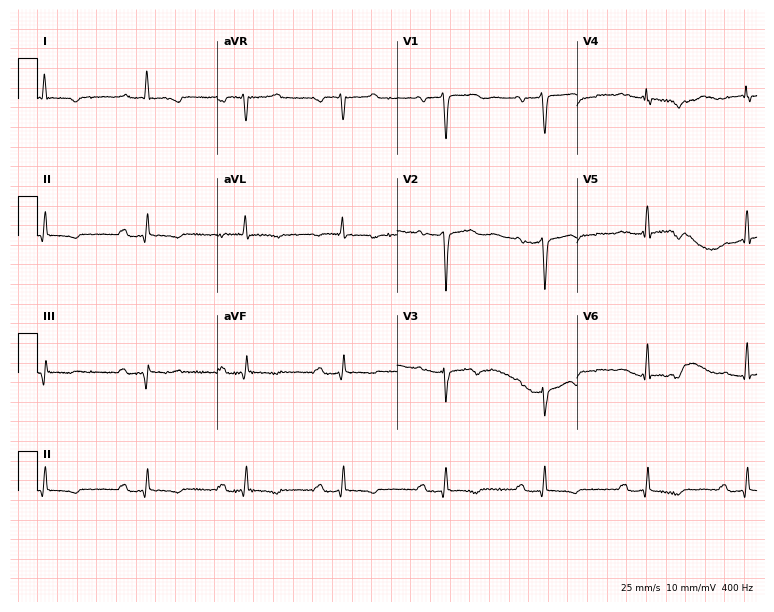
ECG (7.3-second recording at 400 Hz) — a man, 79 years old. Screened for six findings — first-degree AV block, right bundle branch block (RBBB), left bundle branch block (LBBB), sinus bradycardia, atrial fibrillation (AF), sinus tachycardia — none is recorded.